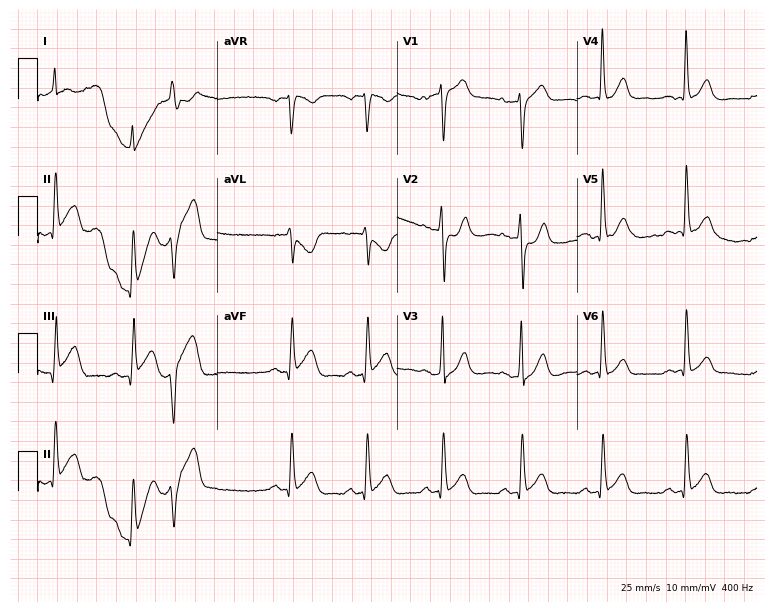
Electrocardiogram, a 67-year-old male patient. Of the six screened findings (first-degree AV block, right bundle branch block (RBBB), left bundle branch block (LBBB), sinus bradycardia, atrial fibrillation (AF), sinus tachycardia), none is recorded.